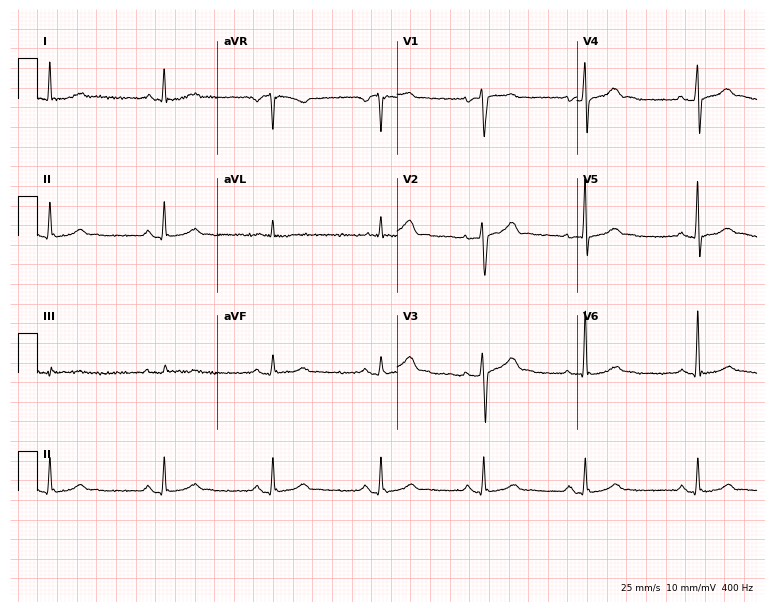
12-lead ECG from a male, 36 years old. Labelled as a normal ECG.